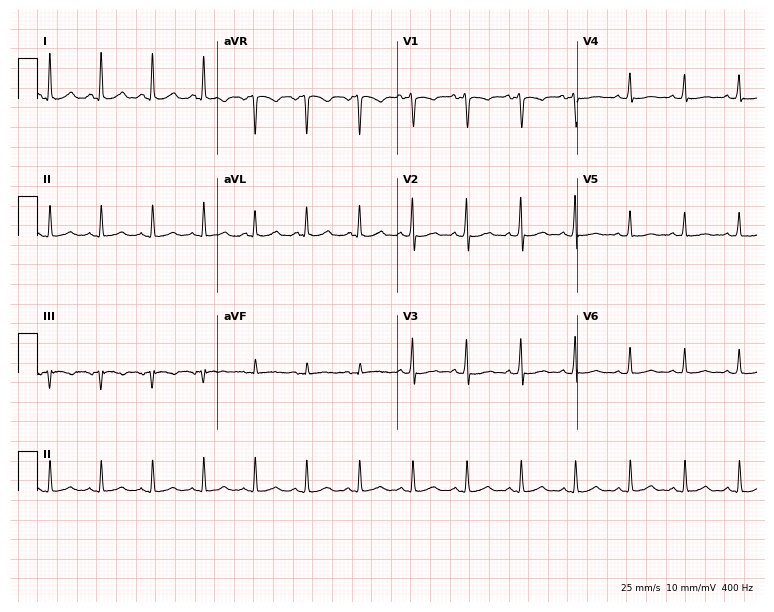
Standard 12-lead ECG recorded from a 37-year-old woman. The tracing shows sinus tachycardia (a sinus rate of 100 beats per minute or more).